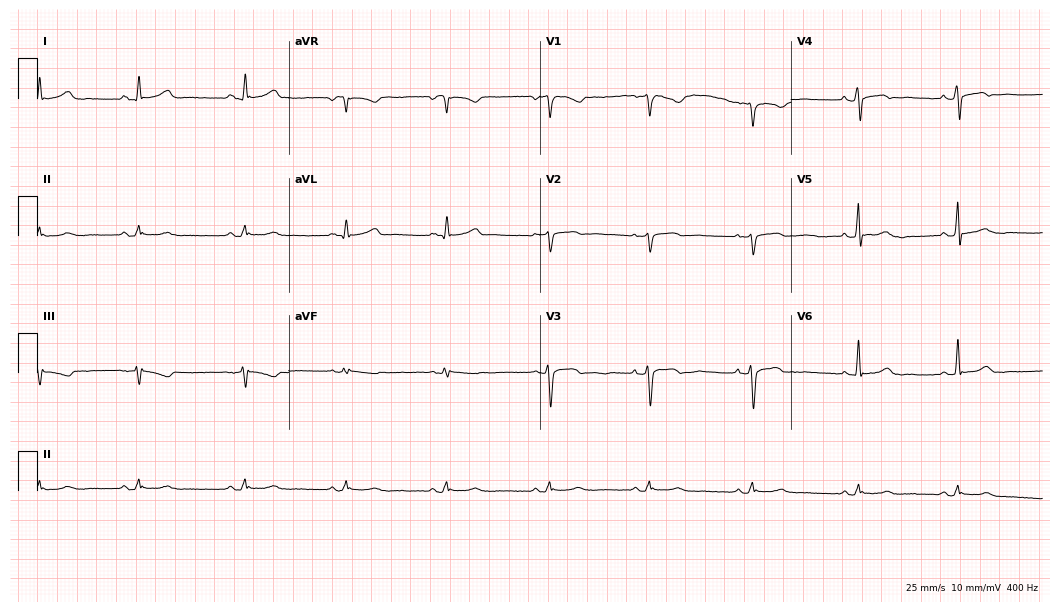
12-lead ECG (10.2-second recording at 400 Hz) from a female, 50 years old. Screened for six findings — first-degree AV block, right bundle branch block, left bundle branch block, sinus bradycardia, atrial fibrillation, sinus tachycardia — none is recorded.